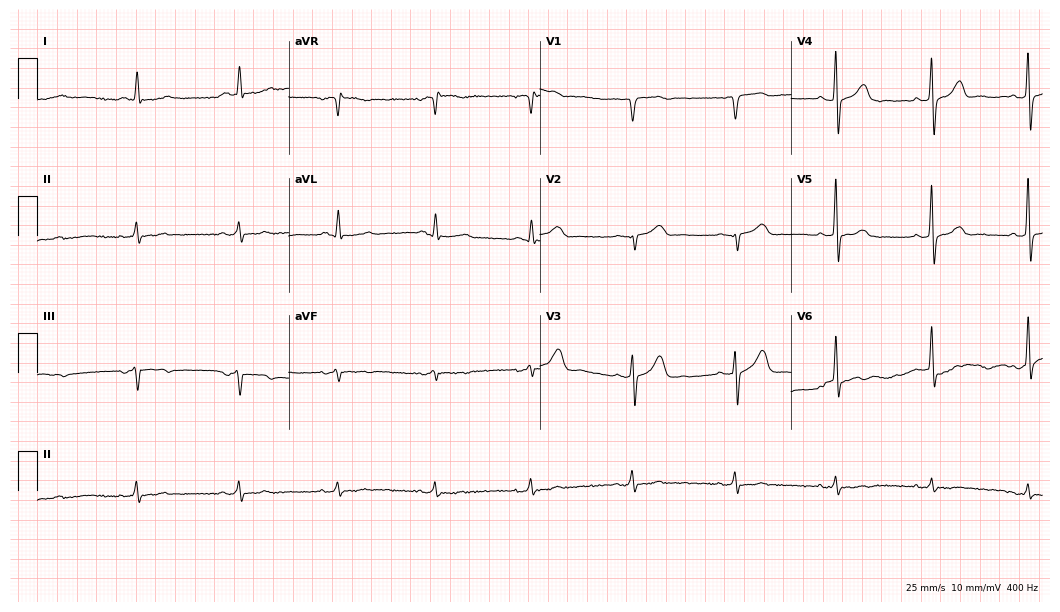
Resting 12-lead electrocardiogram. Patient: an 82-year-old female. None of these six findings is recorded: first-degree AV block, right bundle branch block, left bundle branch block, sinus bradycardia, atrial fibrillation, sinus tachycardia. Only these six findings were labelled.